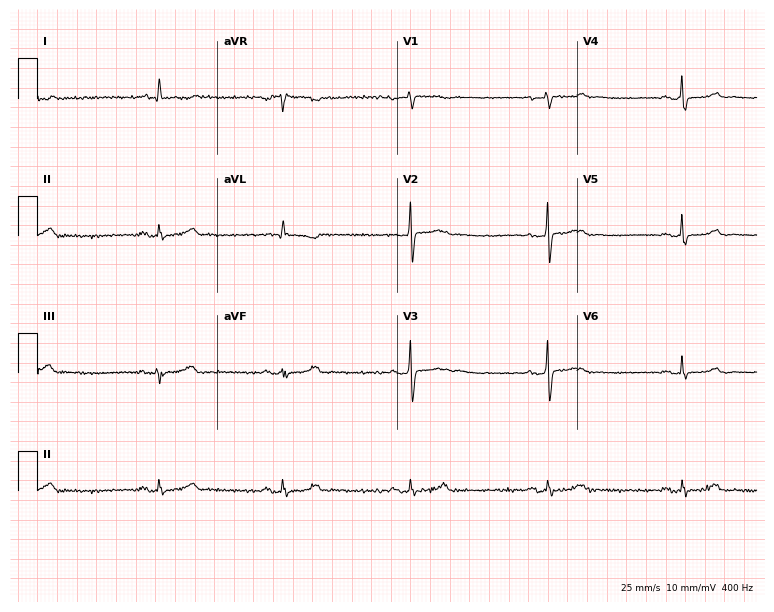
12-lead ECG from a 64-year-old woman (7.3-second recording at 400 Hz). No first-degree AV block, right bundle branch block, left bundle branch block, sinus bradycardia, atrial fibrillation or sinus tachycardia recorded for this tracing.